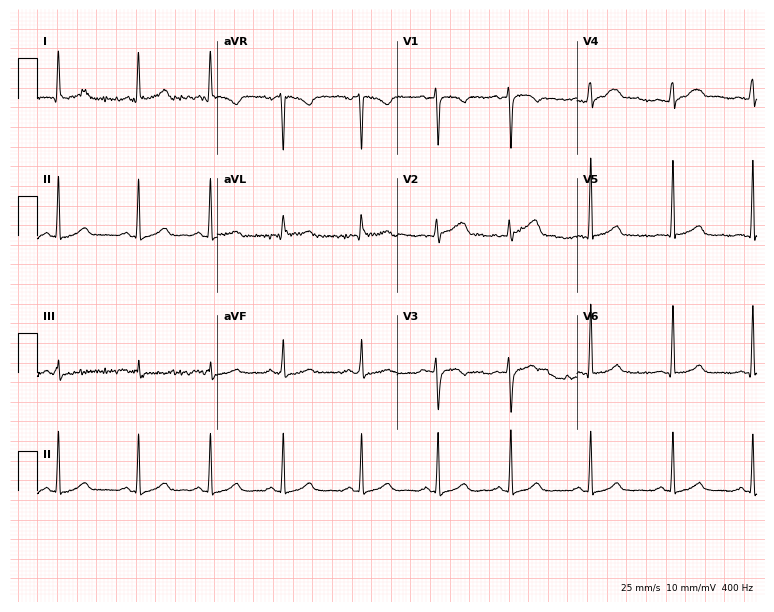
12-lead ECG from a man, 38 years old (7.3-second recording at 400 Hz). Recorded interpretation: within normal limits.